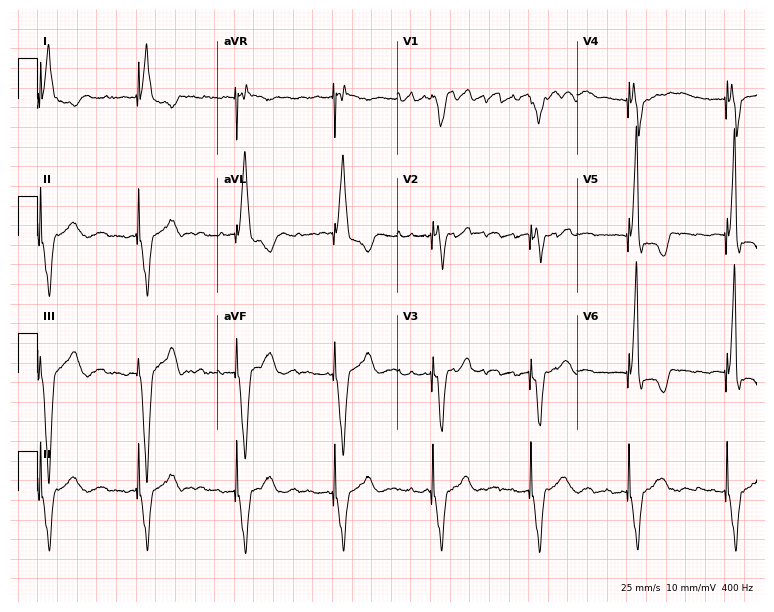
12-lead ECG from a woman, 76 years old (7.3-second recording at 400 Hz). No first-degree AV block, right bundle branch block, left bundle branch block, sinus bradycardia, atrial fibrillation or sinus tachycardia recorded for this tracing.